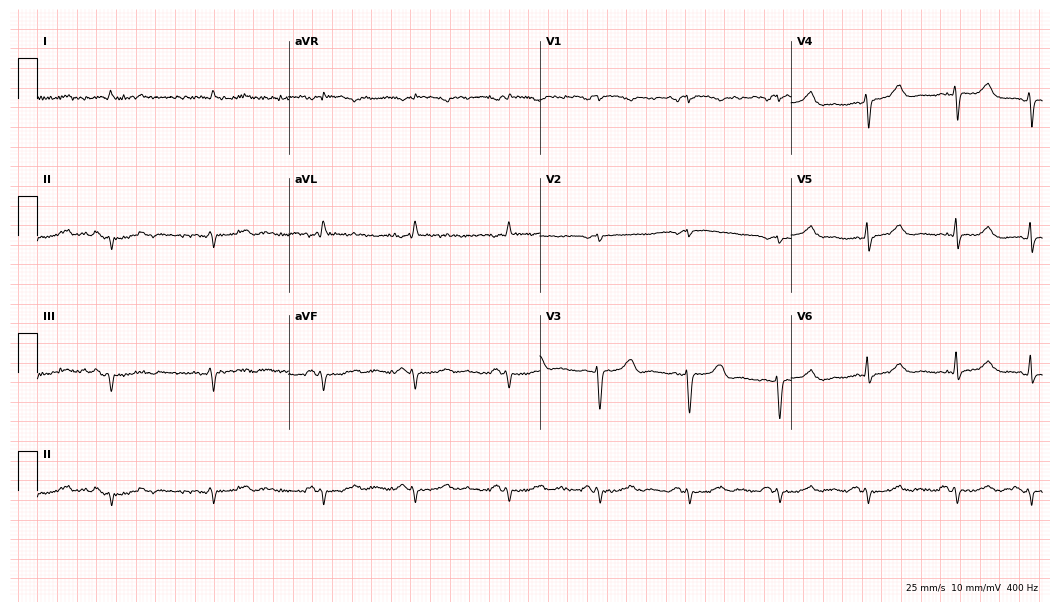
ECG (10.2-second recording at 400 Hz) — a 71-year-old woman. Screened for six findings — first-degree AV block, right bundle branch block (RBBB), left bundle branch block (LBBB), sinus bradycardia, atrial fibrillation (AF), sinus tachycardia — none is recorded. Other findings, if any, are not listed.